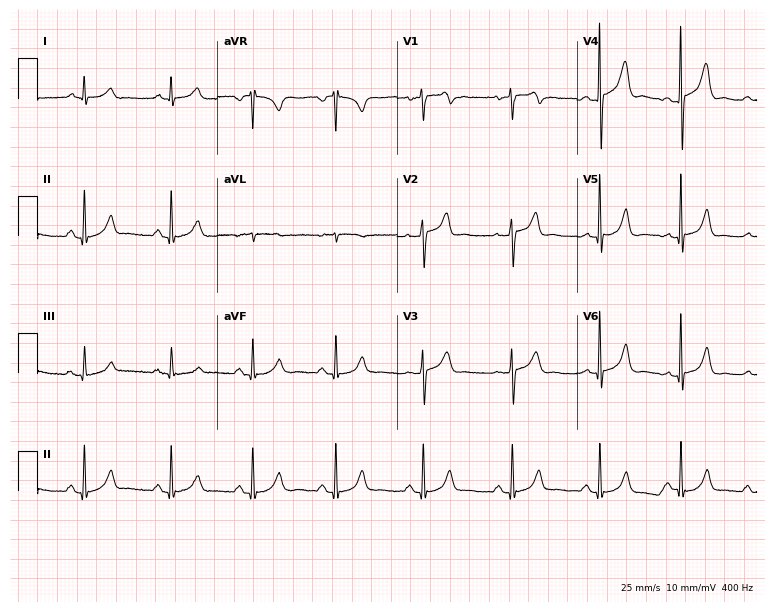
Electrocardiogram (7.3-second recording at 400 Hz), a 68-year-old male. Of the six screened findings (first-degree AV block, right bundle branch block (RBBB), left bundle branch block (LBBB), sinus bradycardia, atrial fibrillation (AF), sinus tachycardia), none is recorded. Other findings, if any, are not listed.